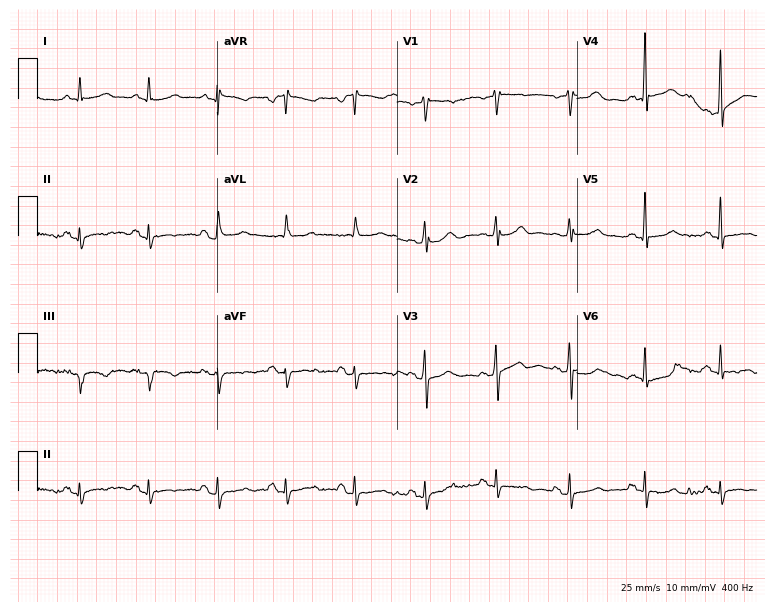
Standard 12-lead ECG recorded from a woman, 44 years old (7.3-second recording at 400 Hz). None of these six findings is recorded: first-degree AV block, right bundle branch block (RBBB), left bundle branch block (LBBB), sinus bradycardia, atrial fibrillation (AF), sinus tachycardia. Only these six findings were labelled.